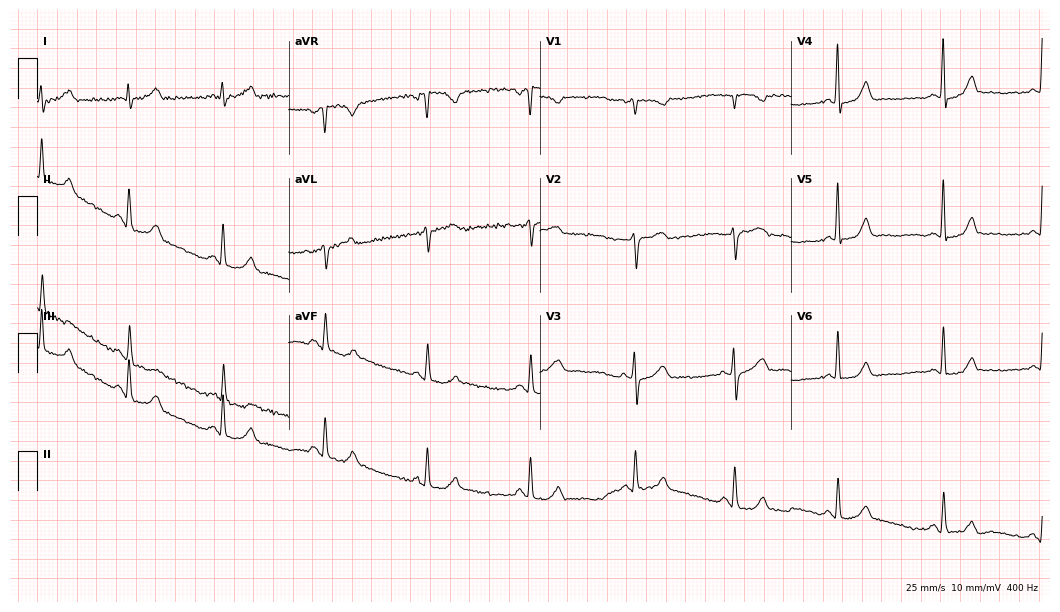
Resting 12-lead electrocardiogram (10.2-second recording at 400 Hz). Patient: a female, 53 years old. None of these six findings is recorded: first-degree AV block, right bundle branch block, left bundle branch block, sinus bradycardia, atrial fibrillation, sinus tachycardia. Findings outside these six are not listed.